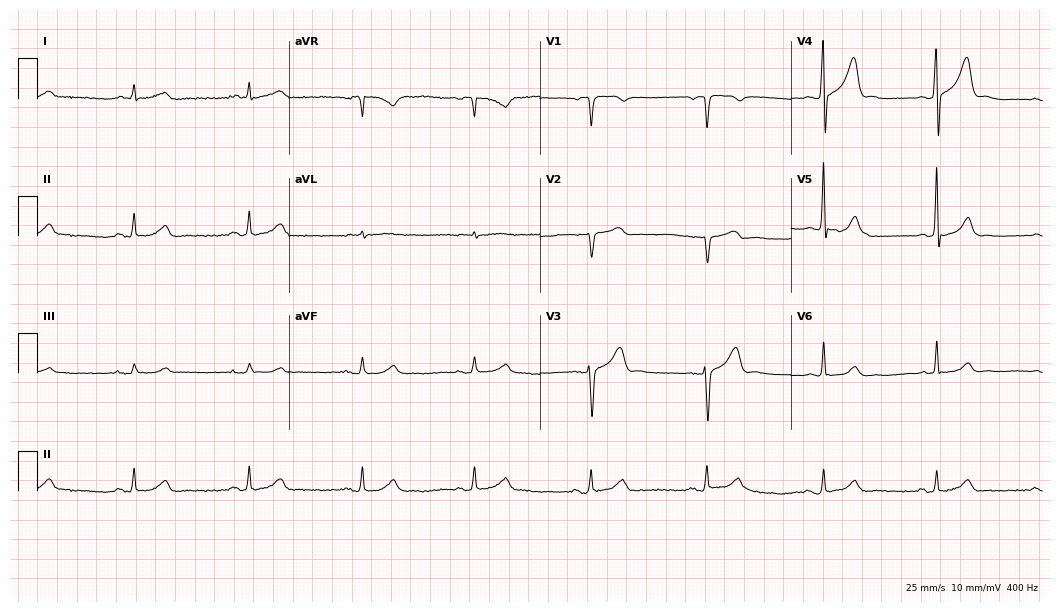
ECG (10.2-second recording at 400 Hz) — a 72-year-old male. Screened for six findings — first-degree AV block, right bundle branch block (RBBB), left bundle branch block (LBBB), sinus bradycardia, atrial fibrillation (AF), sinus tachycardia — none is recorded. Other findings, if any, are not listed.